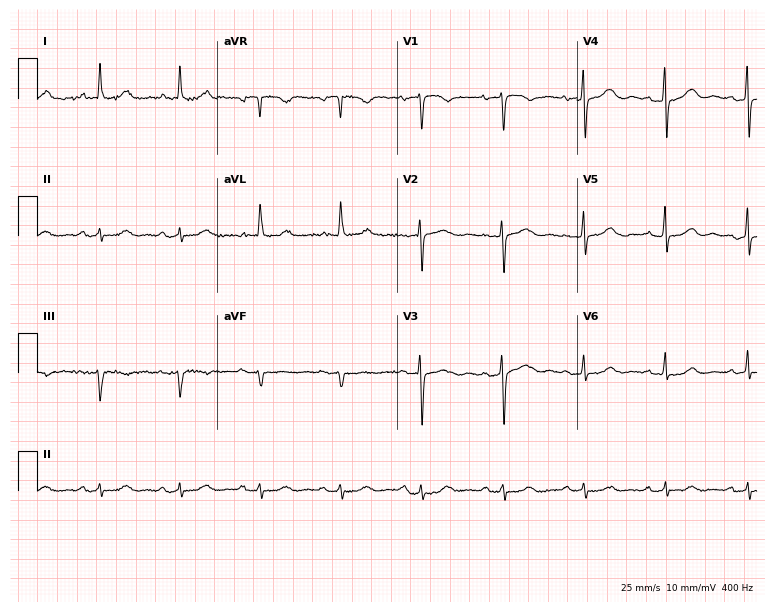
ECG (7.3-second recording at 400 Hz) — a woman, 85 years old. Screened for six findings — first-degree AV block, right bundle branch block, left bundle branch block, sinus bradycardia, atrial fibrillation, sinus tachycardia — none is recorded.